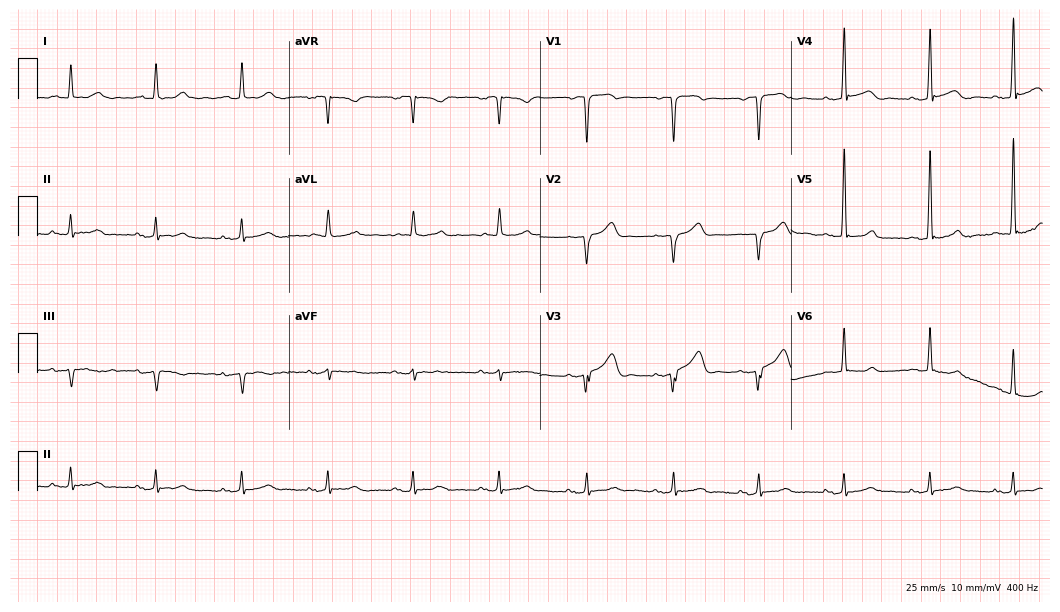
12-lead ECG (10.2-second recording at 400 Hz) from a male, 74 years old. Screened for six findings — first-degree AV block, right bundle branch block, left bundle branch block, sinus bradycardia, atrial fibrillation, sinus tachycardia — none is recorded. Findings outside these six are not listed.